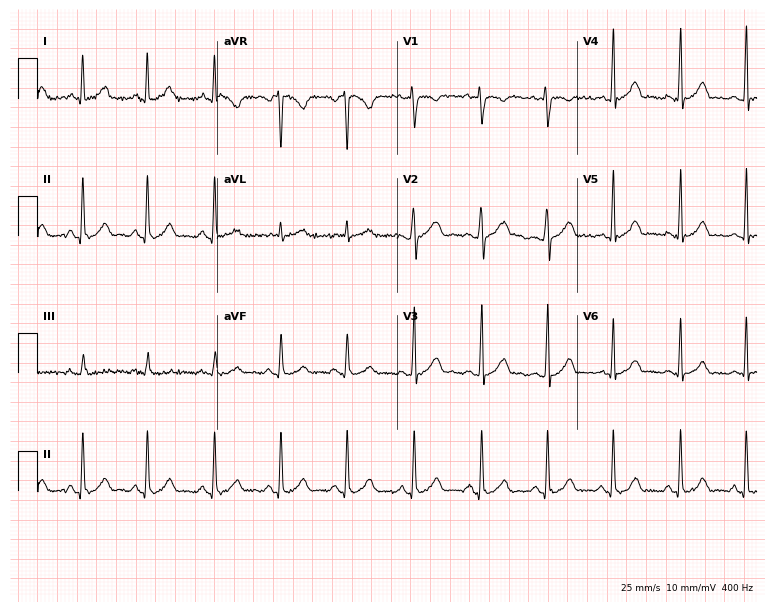
Electrocardiogram (7.3-second recording at 400 Hz), a 30-year-old woman. Overall reading on record: normal ECG.